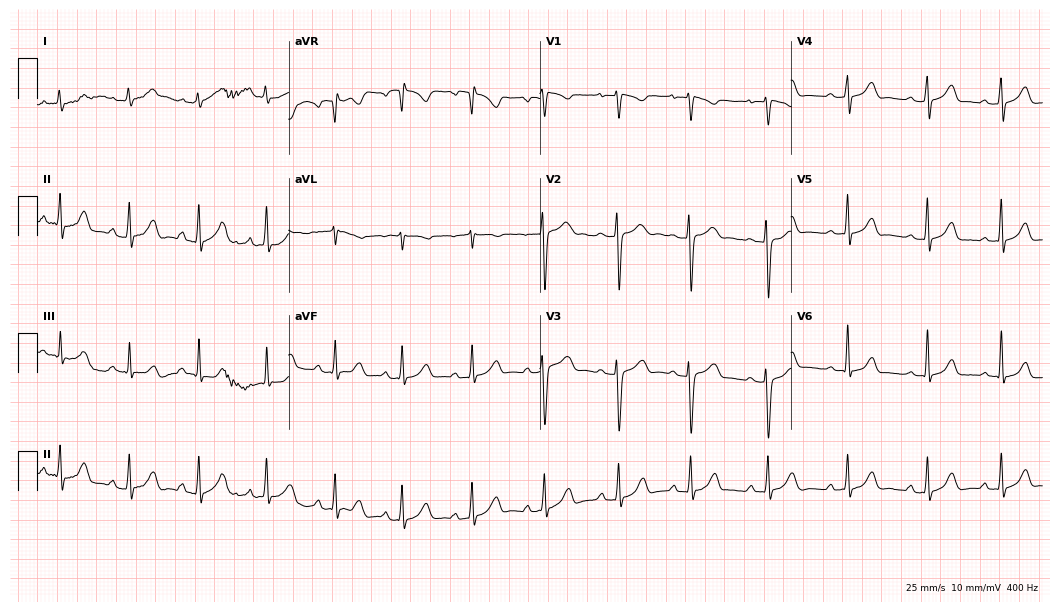
12-lead ECG from a female, 18 years old. Labelled as a normal ECG.